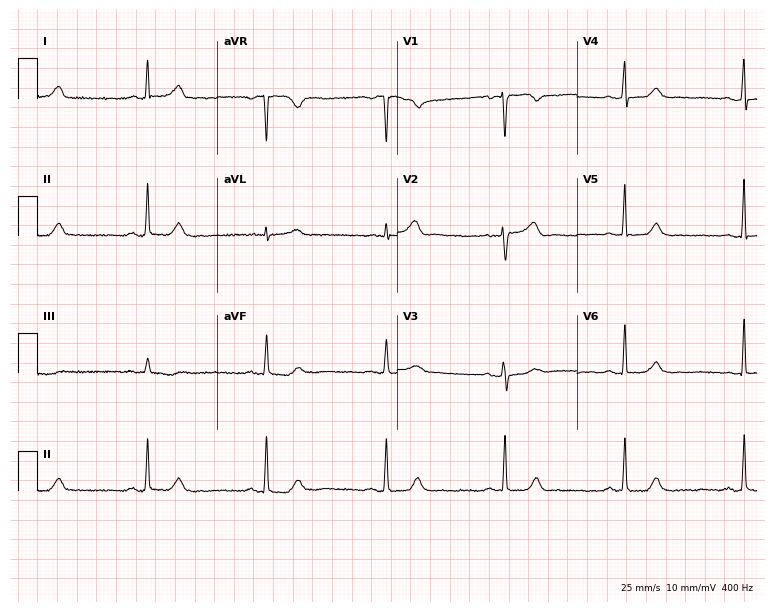
Electrocardiogram (7.3-second recording at 400 Hz), a 68-year-old female. Interpretation includes sinus bradycardia (a sinus rate of 50 beats per minute or less).